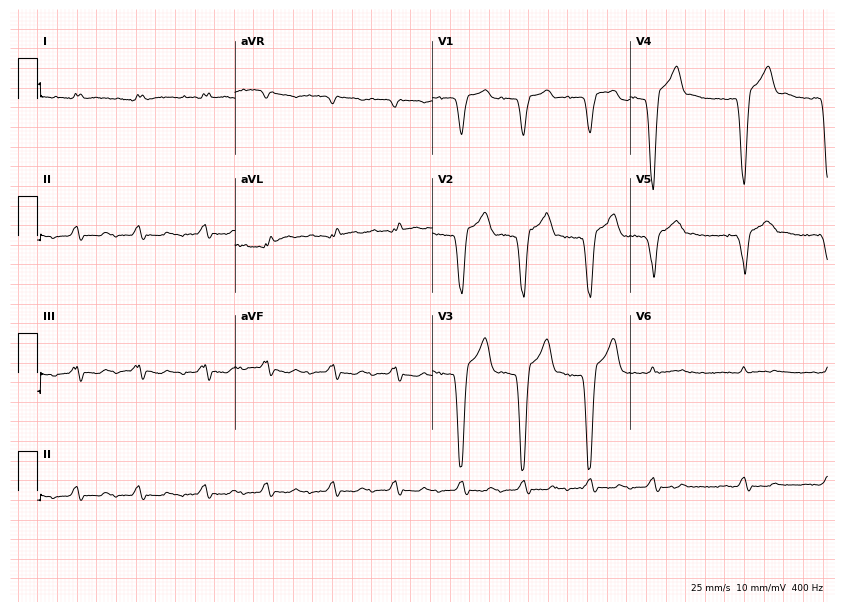
Electrocardiogram, a male patient, 76 years old. Of the six screened findings (first-degree AV block, right bundle branch block, left bundle branch block, sinus bradycardia, atrial fibrillation, sinus tachycardia), none is recorded. Other findings, if any, are not listed.